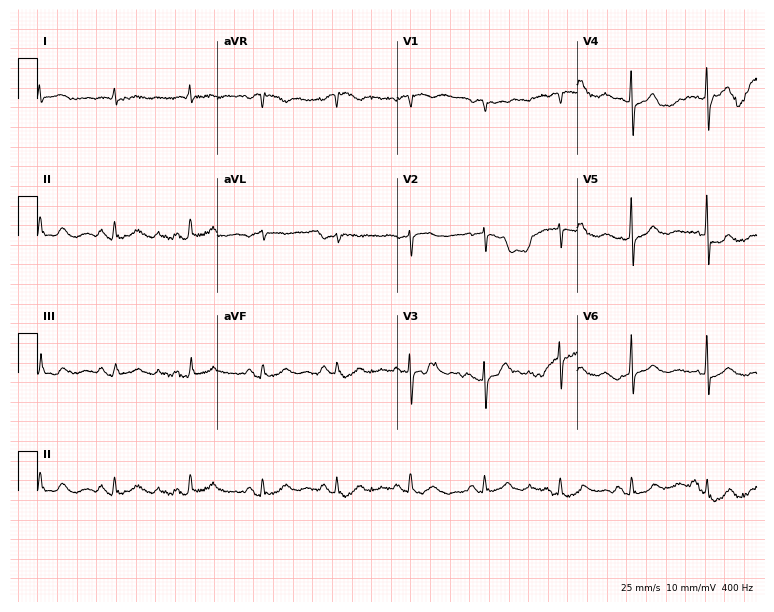
Standard 12-lead ECG recorded from a 72-year-old male (7.3-second recording at 400 Hz). None of these six findings is recorded: first-degree AV block, right bundle branch block, left bundle branch block, sinus bradycardia, atrial fibrillation, sinus tachycardia. Findings outside these six are not listed.